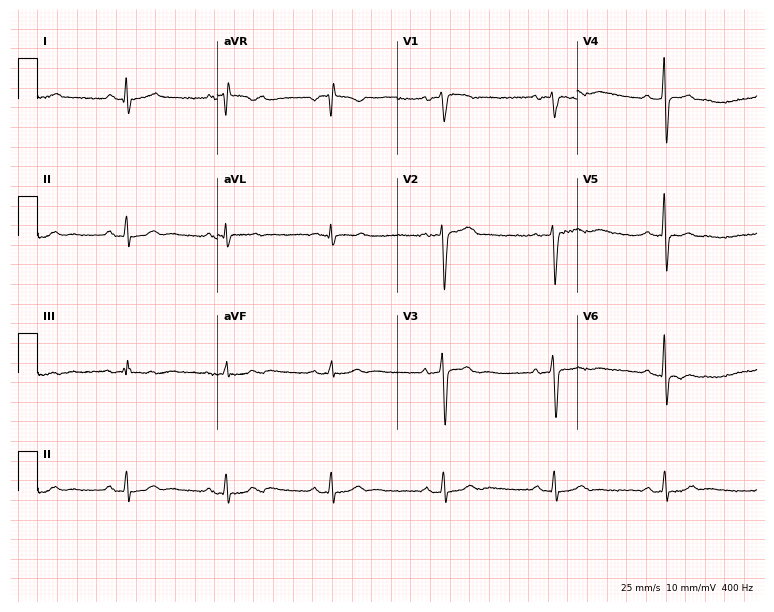
ECG — a male, 54 years old. Labelled as a normal ECG.